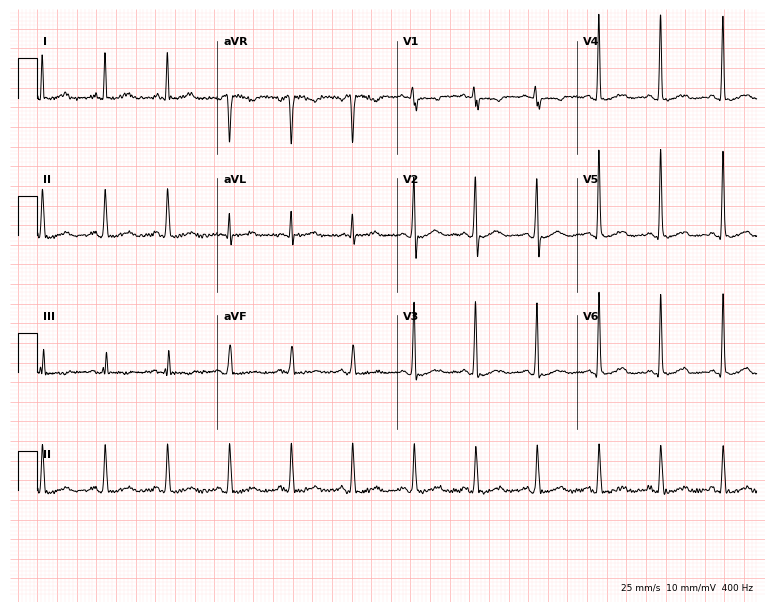
Electrocardiogram (7.3-second recording at 400 Hz), a male, 49 years old. Of the six screened findings (first-degree AV block, right bundle branch block, left bundle branch block, sinus bradycardia, atrial fibrillation, sinus tachycardia), none is recorded.